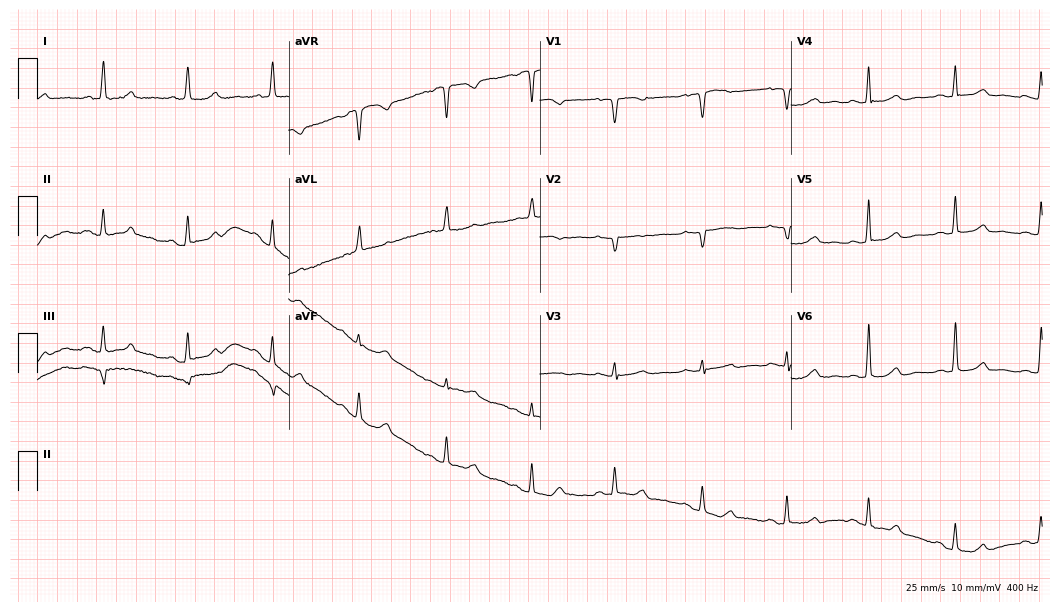
12-lead ECG (10.2-second recording at 400 Hz) from a female patient, 63 years old. Screened for six findings — first-degree AV block, right bundle branch block, left bundle branch block, sinus bradycardia, atrial fibrillation, sinus tachycardia — none is recorded.